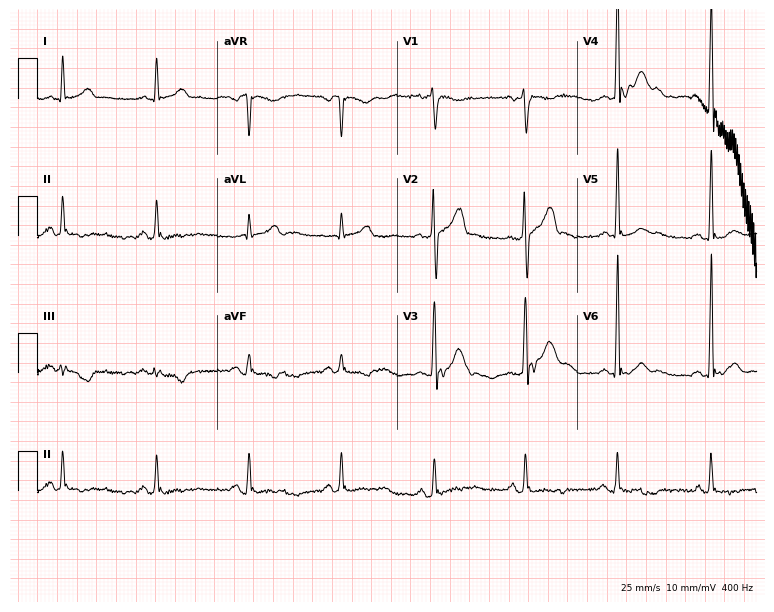
12-lead ECG from a male, 44 years old (7.3-second recording at 400 Hz). No first-degree AV block, right bundle branch block (RBBB), left bundle branch block (LBBB), sinus bradycardia, atrial fibrillation (AF) or sinus tachycardia recorded for this tracing.